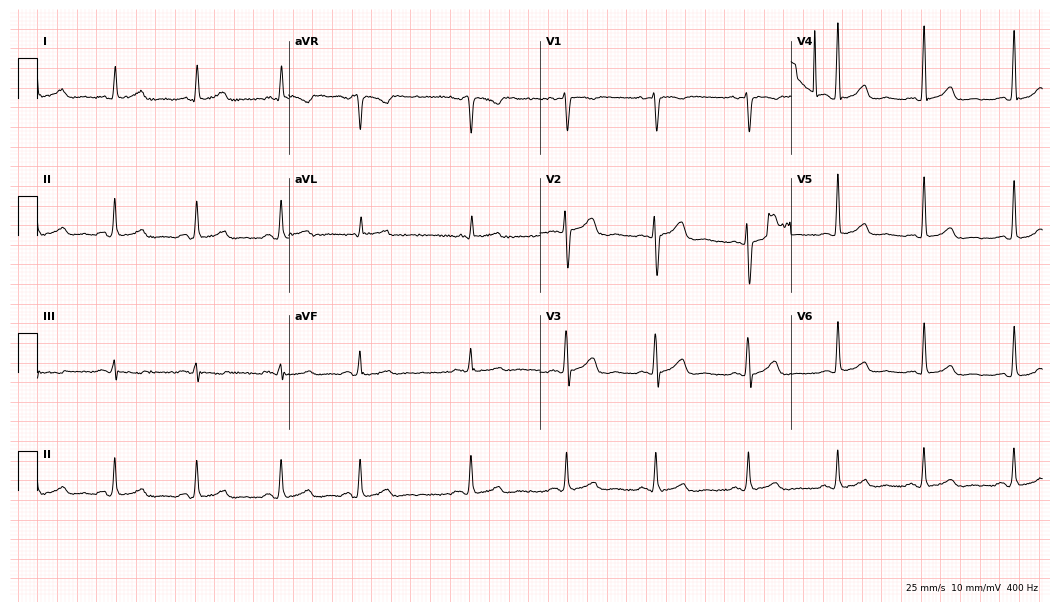
Electrocardiogram (10.2-second recording at 400 Hz), a 46-year-old woman. Overall reading on record: normal ECG.